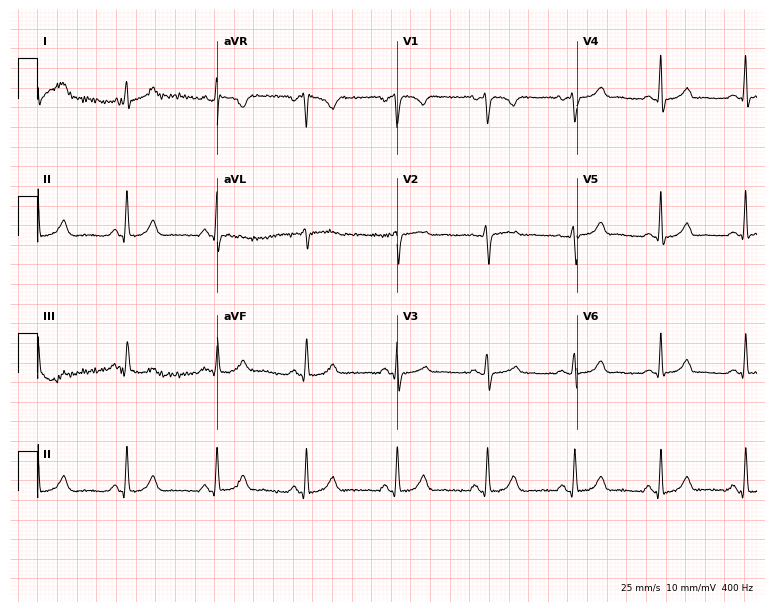
ECG — a female, 37 years old. Labelled as a normal ECG.